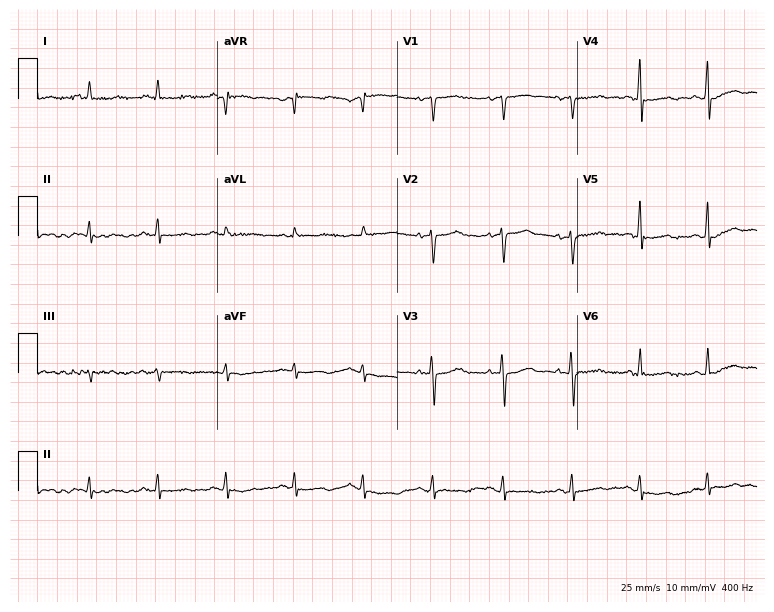
12-lead ECG from a female patient, 65 years old. Screened for six findings — first-degree AV block, right bundle branch block (RBBB), left bundle branch block (LBBB), sinus bradycardia, atrial fibrillation (AF), sinus tachycardia — none is recorded.